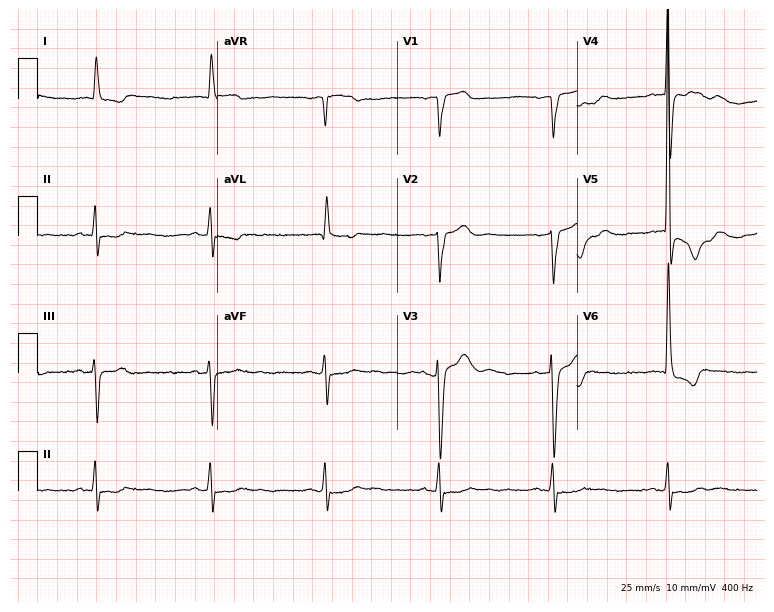
12-lead ECG (7.3-second recording at 400 Hz) from a male patient, 76 years old. Screened for six findings — first-degree AV block, right bundle branch block, left bundle branch block, sinus bradycardia, atrial fibrillation, sinus tachycardia — none is recorded. Other findings, if any, are not listed.